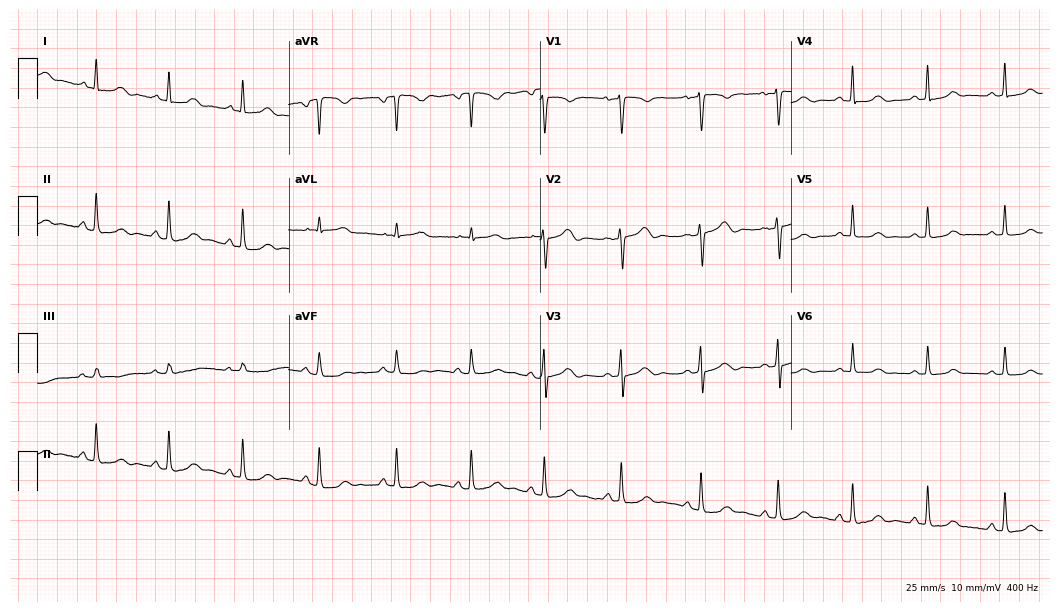
Resting 12-lead electrocardiogram. Patient: a 39-year-old woman. None of these six findings is recorded: first-degree AV block, right bundle branch block, left bundle branch block, sinus bradycardia, atrial fibrillation, sinus tachycardia. Findings outside these six are not listed.